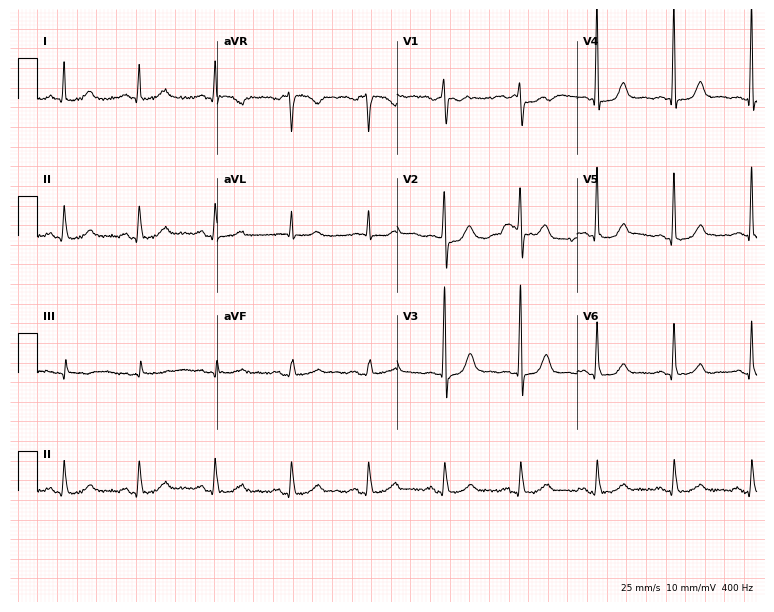
ECG (7.3-second recording at 400 Hz) — a 55-year-old female. Labelled as a normal ECG.